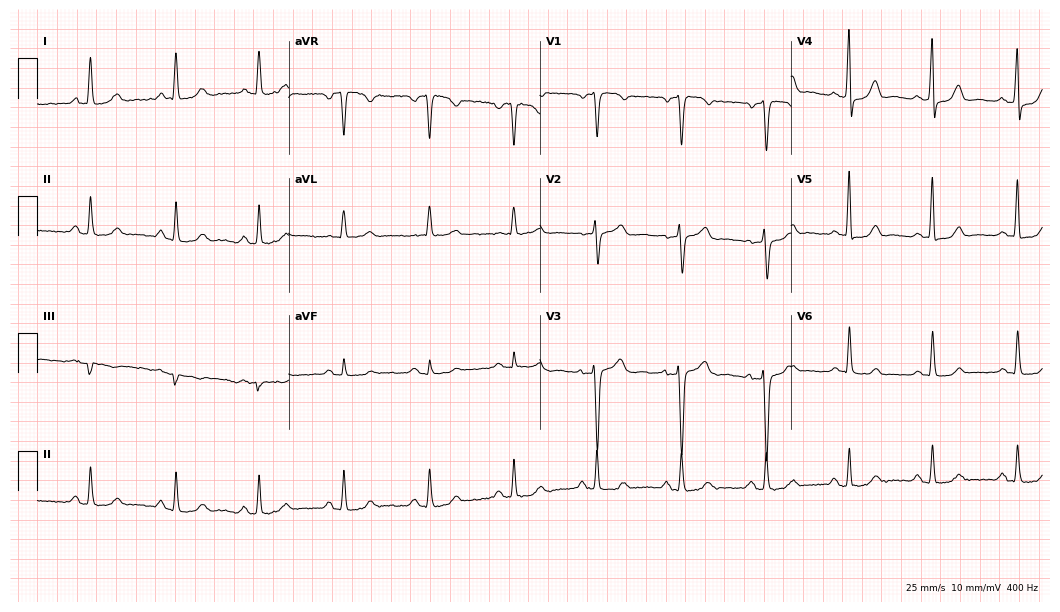
ECG (10.2-second recording at 400 Hz) — a female, 44 years old. Labelled as a normal ECG.